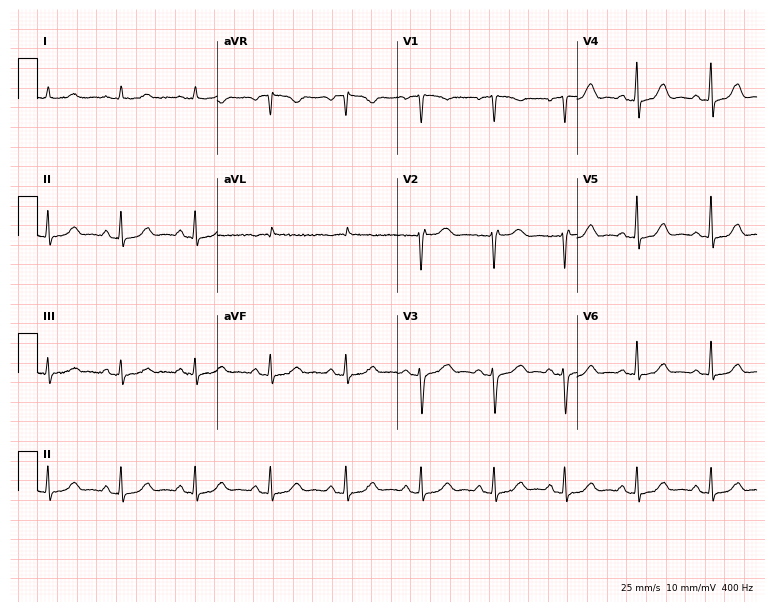
Resting 12-lead electrocardiogram (7.3-second recording at 400 Hz). Patient: a female, 51 years old. Read as a normal ECG.